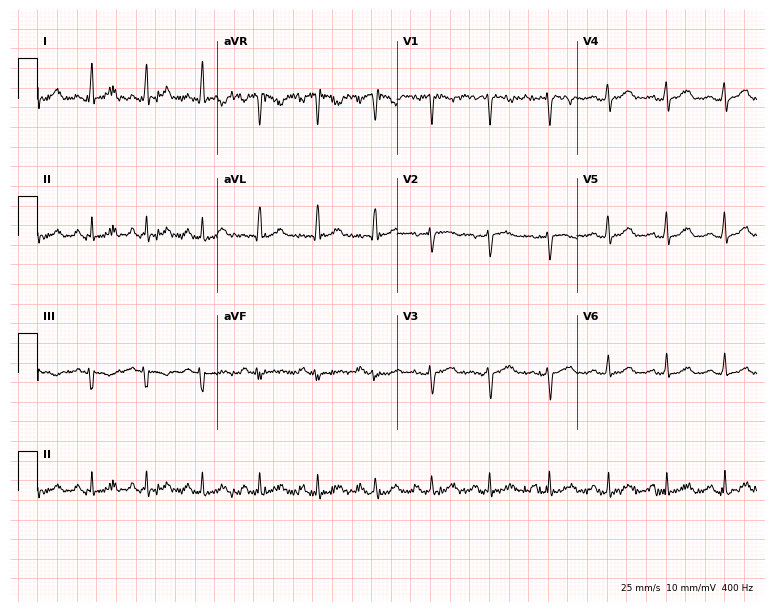
12-lead ECG from a 32-year-old female (7.3-second recording at 400 Hz). No first-degree AV block, right bundle branch block (RBBB), left bundle branch block (LBBB), sinus bradycardia, atrial fibrillation (AF) or sinus tachycardia recorded for this tracing. Only these six findings were labelled.